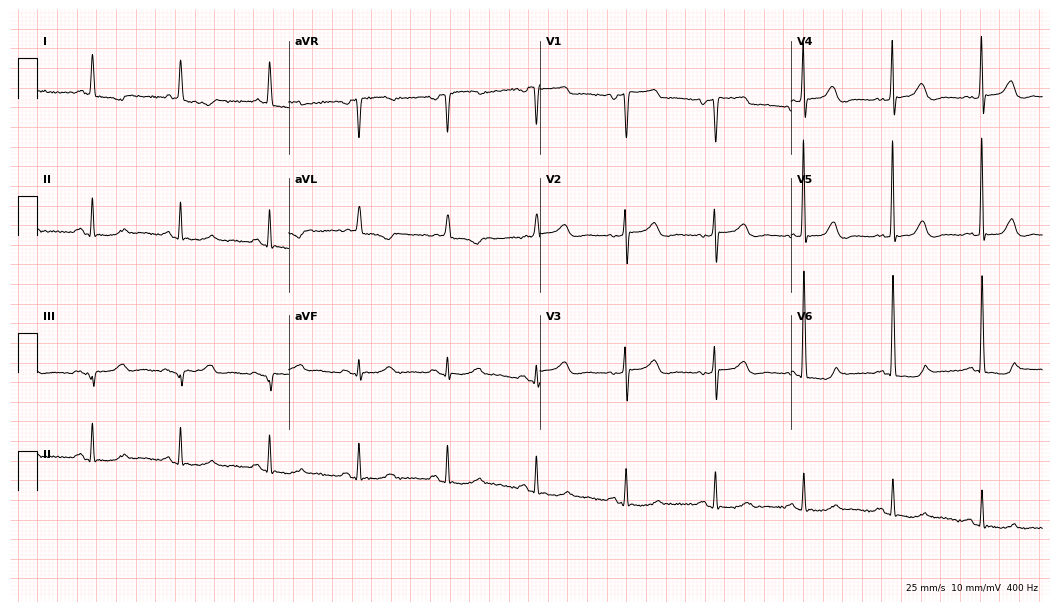
ECG — an 81-year-old woman. Screened for six findings — first-degree AV block, right bundle branch block, left bundle branch block, sinus bradycardia, atrial fibrillation, sinus tachycardia — none is recorded.